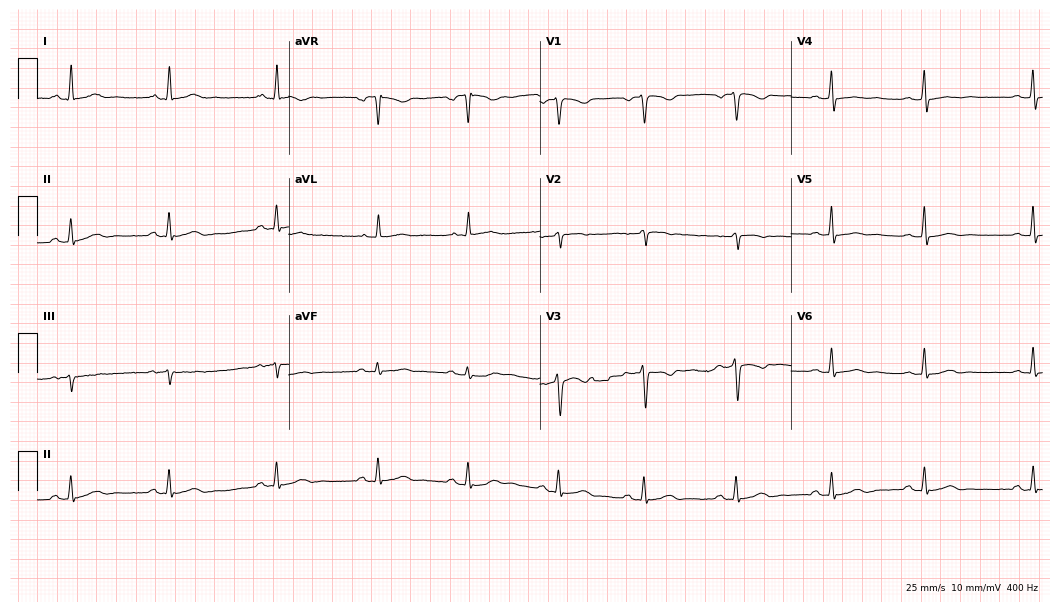
Resting 12-lead electrocardiogram. Patient: a woman, 38 years old. None of these six findings is recorded: first-degree AV block, right bundle branch block (RBBB), left bundle branch block (LBBB), sinus bradycardia, atrial fibrillation (AF), sinus tachycardia.